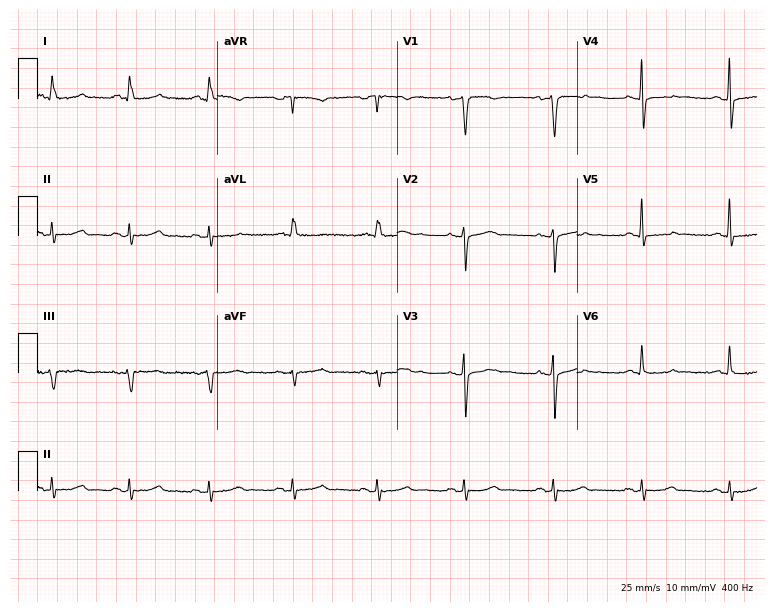
Electrocardiogram (7.3-second recording at 400 Hz), a male, 53 years old. Of the six screened findings (first-degree AV block, right bundle branch block, left bundle branch block, sinus bradycardia, atrial fibrillation, sinus tachycardia), none is recorded. Other findings, if any, are not listed.